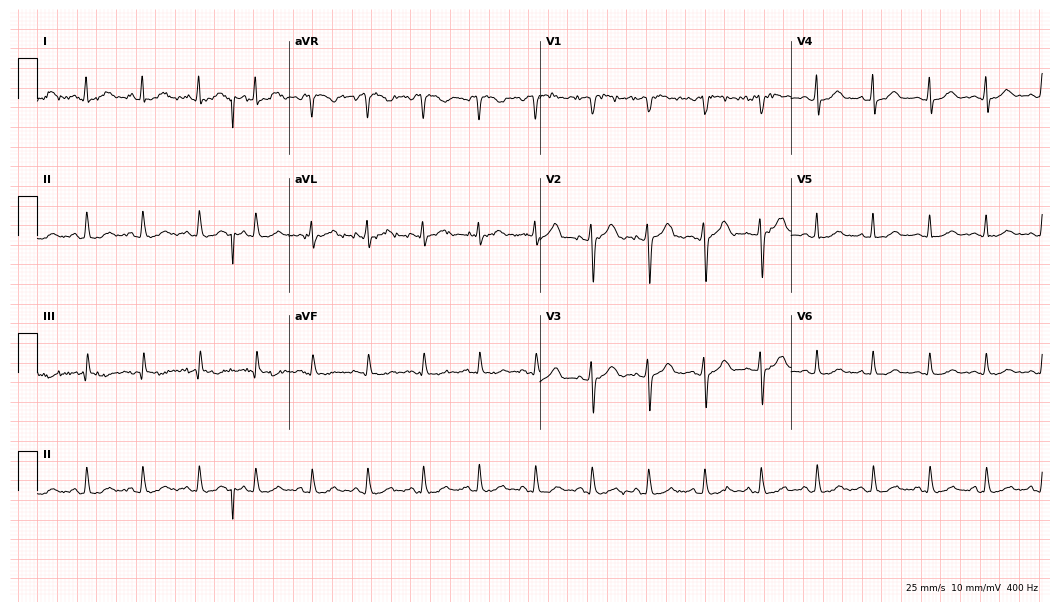
Standard 12-lead ECG recorded from a female patient, 50 years old (10.2-second recording at 400 Hz). None of these six findings is recorded: first-degree AV block, right bundle branch block, left bundle branch block, sinus bradycardia, atrial fibrillation, sinus tachycardia. Only these six findings were labelled.